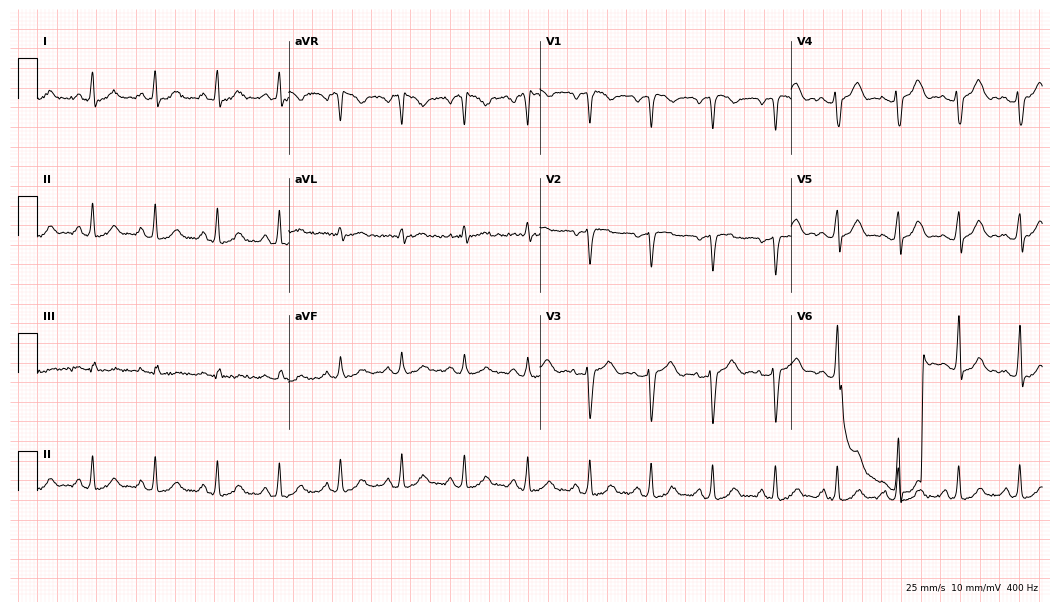
12-lead ECG from a 33-year-old woman. Labelled as a normal ECG.